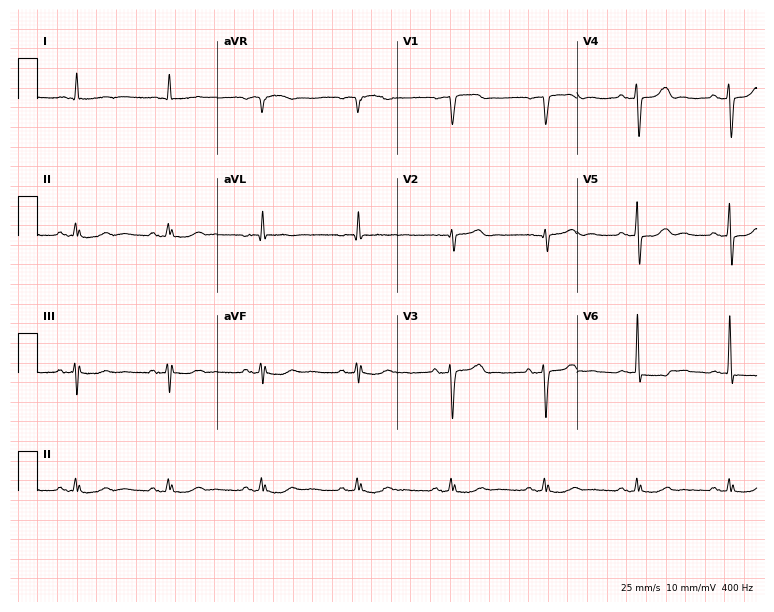
Electrocardiogram, an 85-year-old male patient. Of the six screened findings (first-degree AV block, right bundle branch block (RBBB), left bundle branch block (LBBB), sinus bradycardia, atrial fibrillation (AF), sinus tachycardia), none is recorded. Other findings, if any, are not listed.